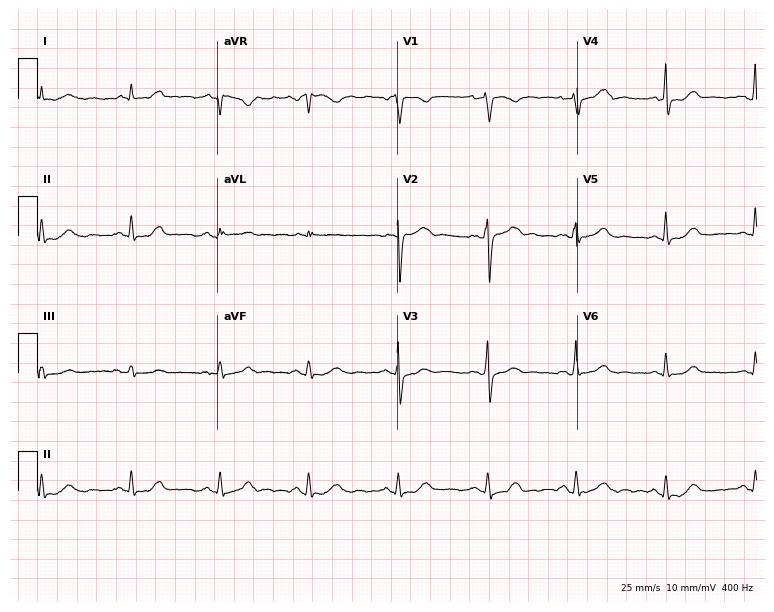
Electrocardiogram, a man, 67 years old. Of the six screened findings (first-degree AV block, right bundle branch block (RBBB), left bundle branch block (LBBB), sinus bradycardia, atrial fibrillation (AF), sinus tachycardia), none is recorded. Only these six findings were labelled.